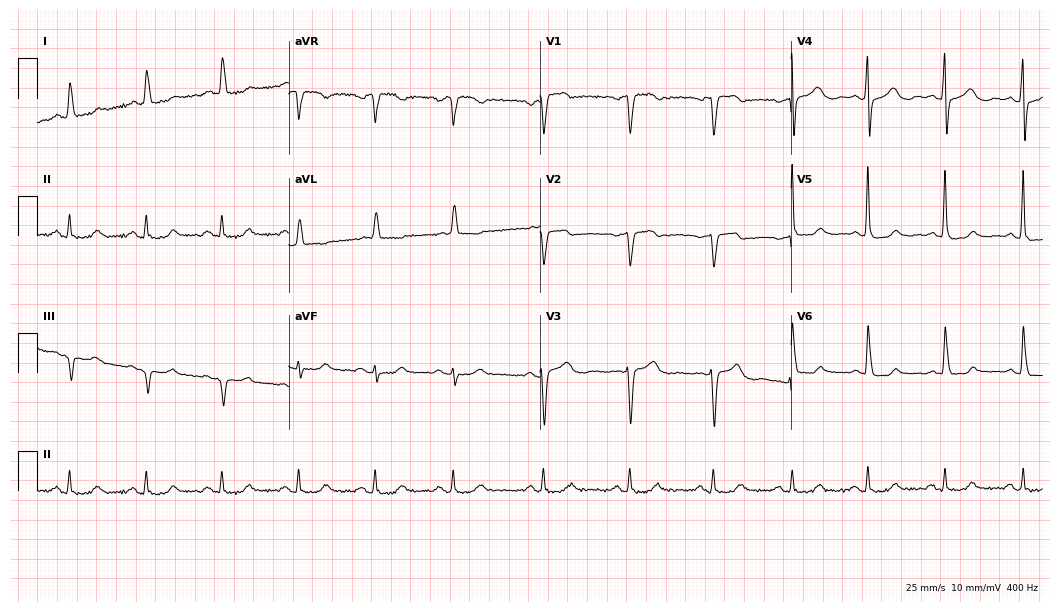
Standard 12-lead ECG recorded from an 80-year-old female patient. Read as a normal ECG.